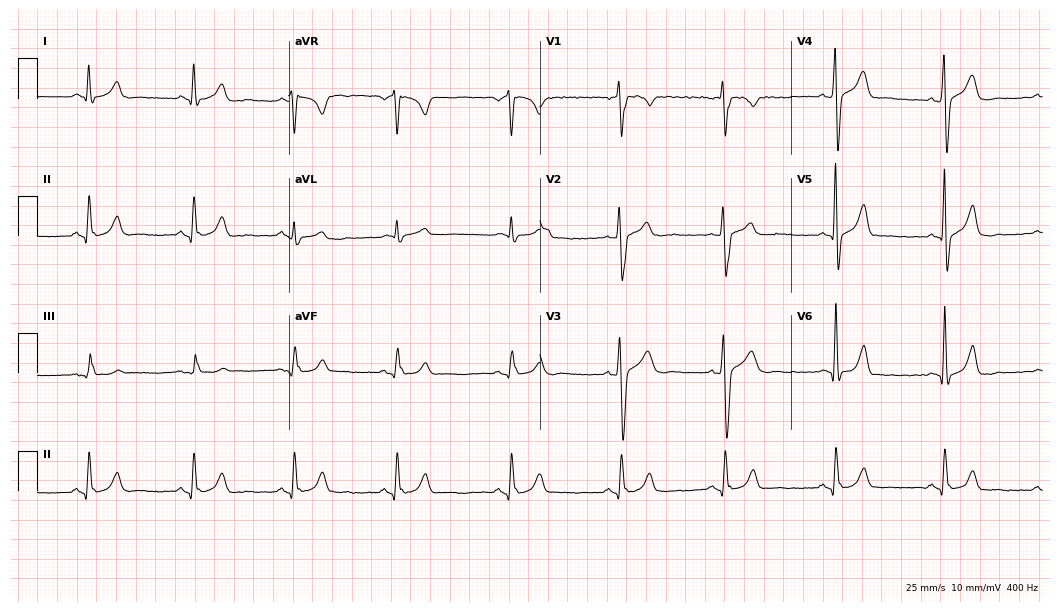
ECG — a man, 34 years old. Screened for six findings — first-degree AV block, right bundle branch block (RBBB), left bundle branch block (LBBB), sinus bradycardia, atrial fibrillation (AF), sinus tachycardia — none is recorded.